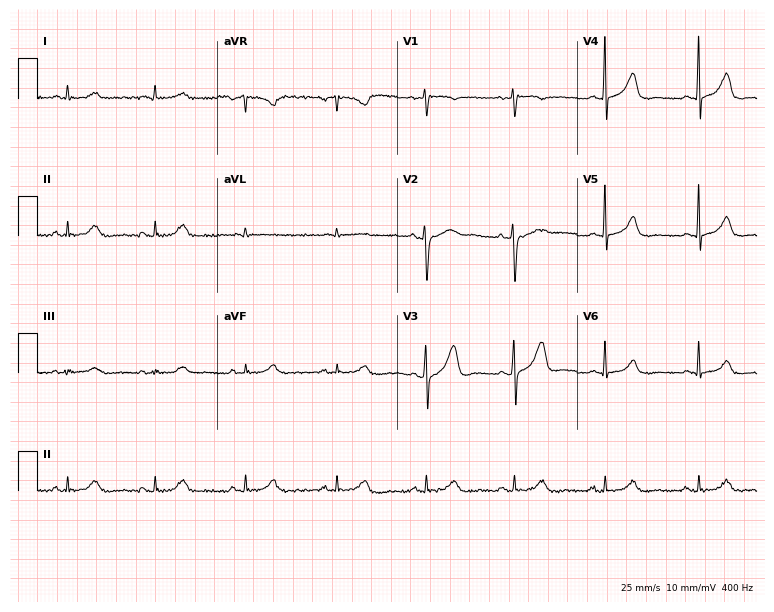
12-lead ECG from a female, 50 years old (7.3-second recording at 400 Hz). Recorded interpretation: within normal limits.